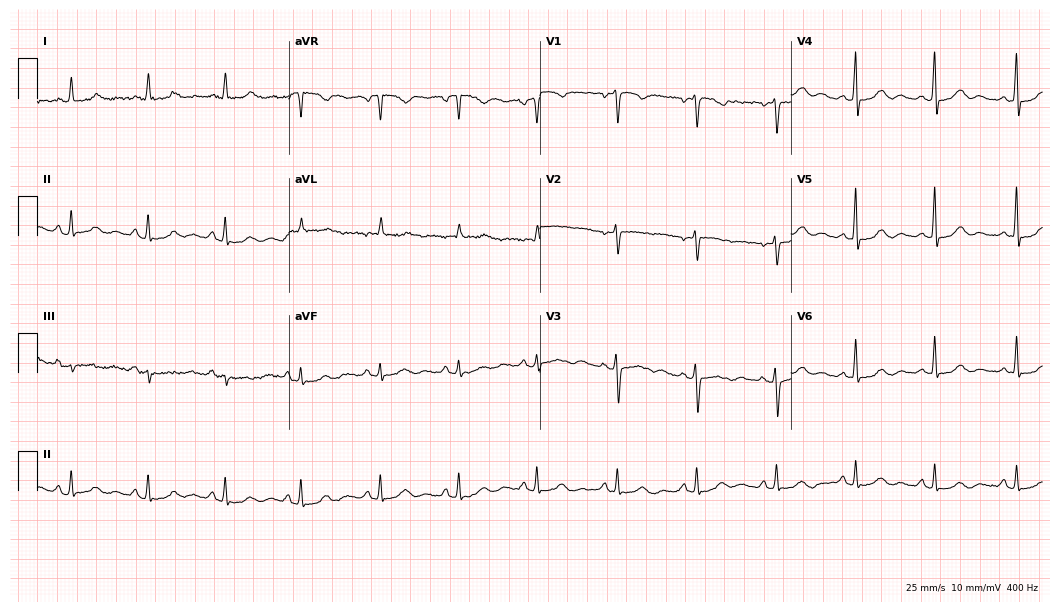
Standard 12-lead ECG recorded from a 41-year-old female. Read as a normal ECG.